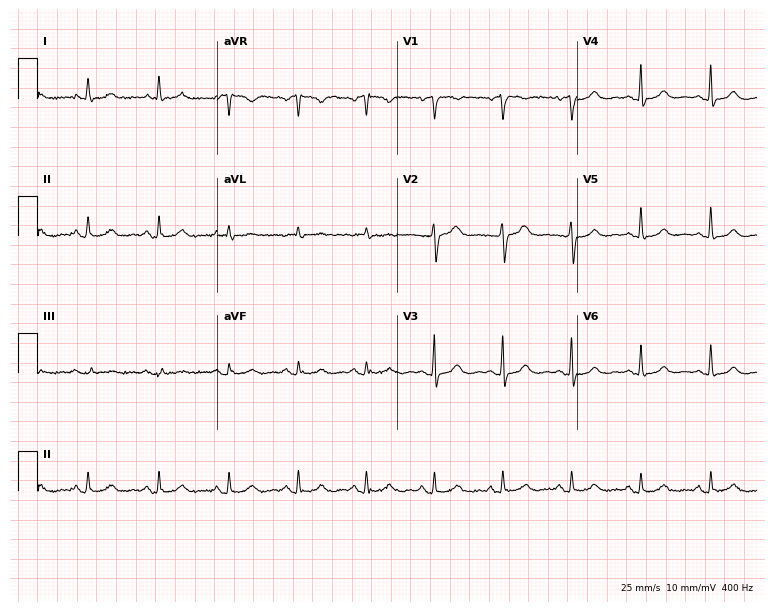
Electrocardiogram, a 56-year-old female patient. Overall reading on record: normal ECG.